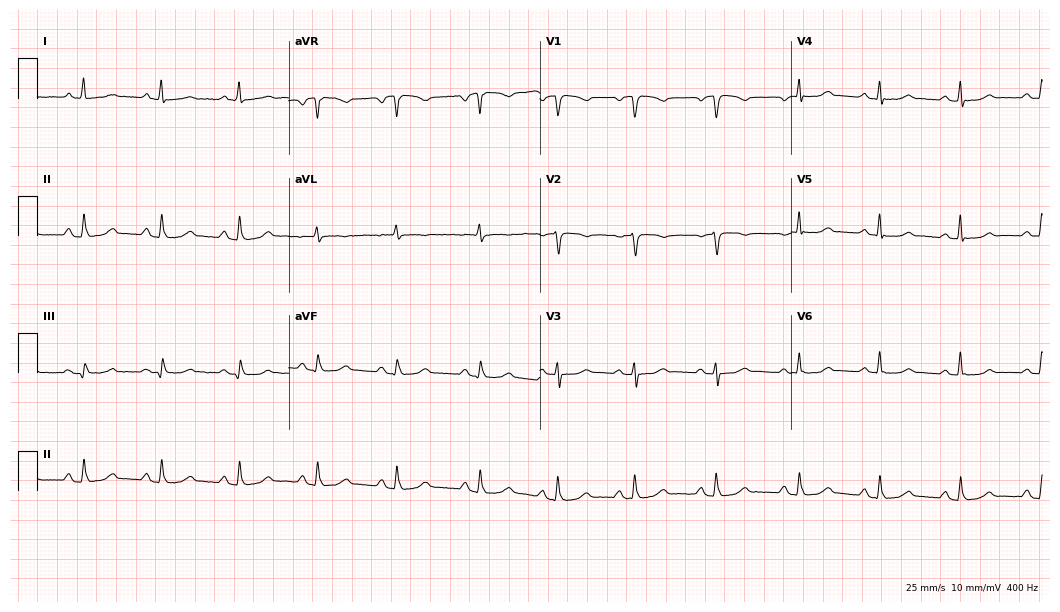
Standard 12-lead ECG recorded from a female patient, 54 years old. Read as a normal ECG.